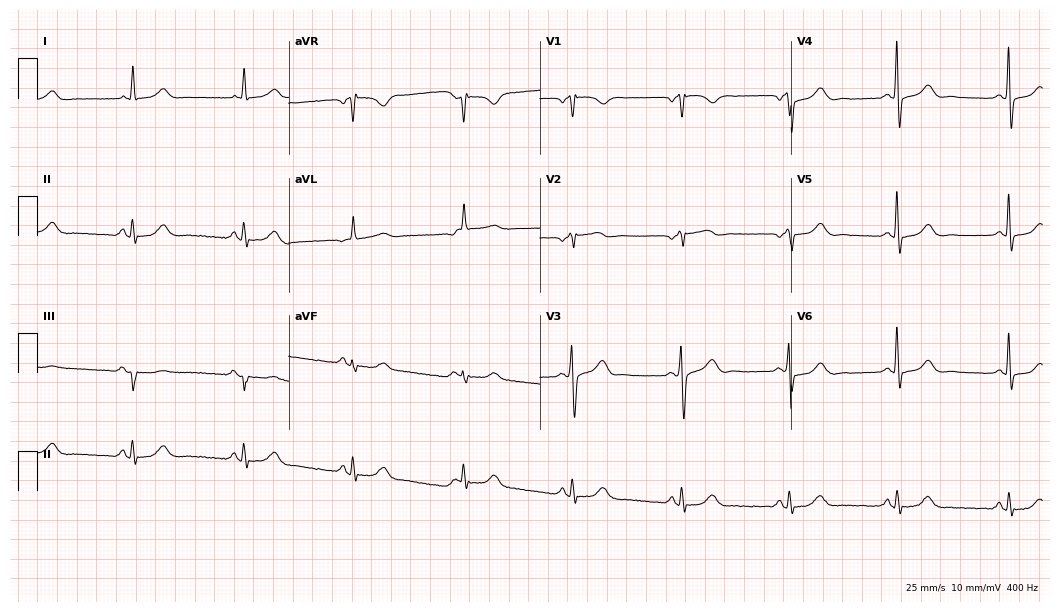
12-lead ECG (10.2-second recording at 400 Hz) from a 72-year-old male patient. Labelled as a normal ECG.